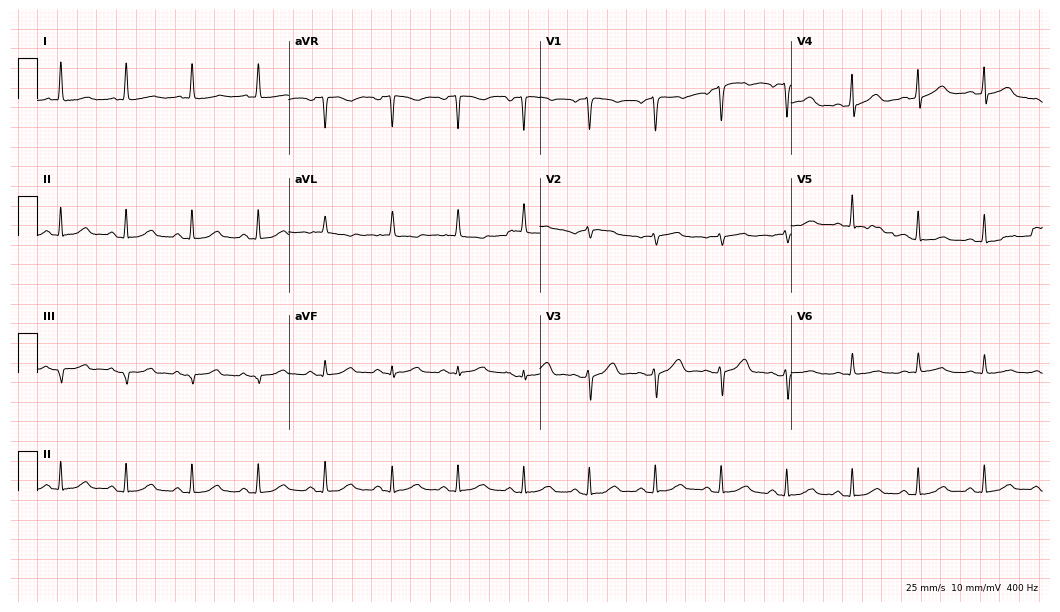
ECG — a woman, 63 years old. Labelled as a normal ECG.